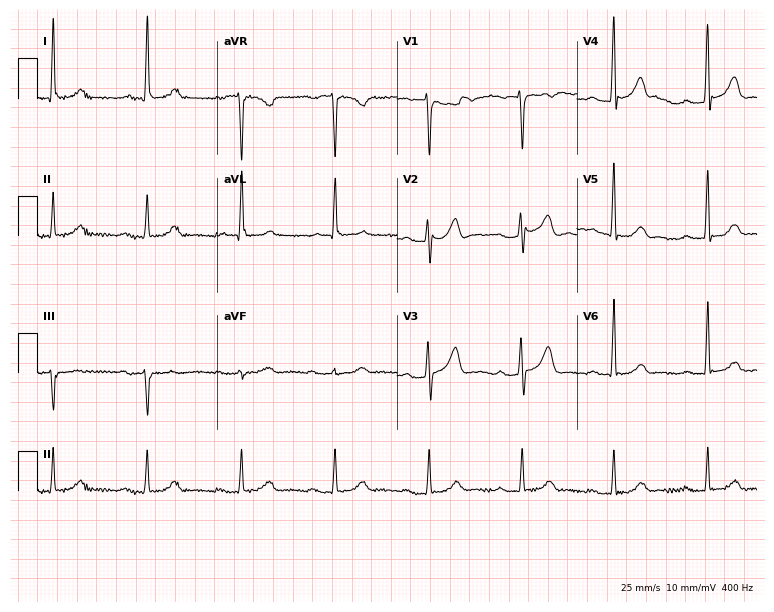
12-lead ECG from a male, 71 years old (7.3-second recording at 400 Hz). Shows first-degree AV block.